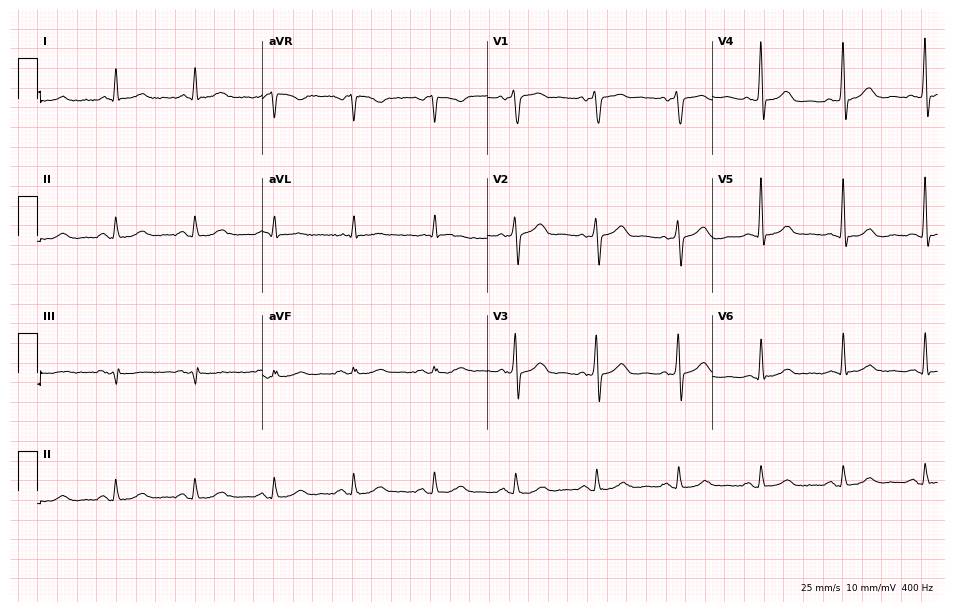
Resting 12-lead electrocardiogram. Patient: a 62-year-old man. Read as a normal ECG.